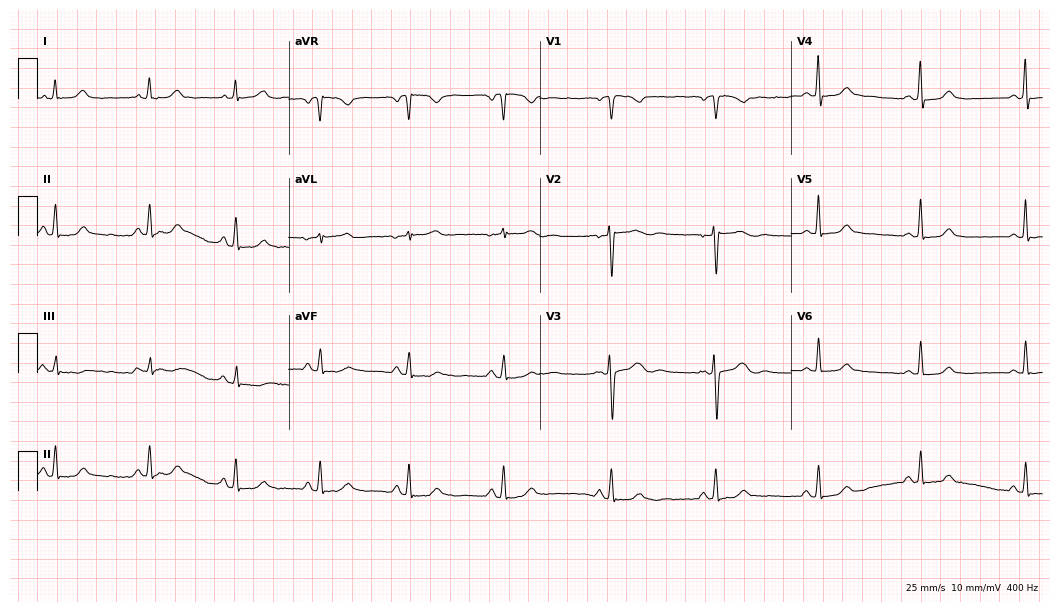
ECG (10.2-second recording at 400 Hz) — a woman, 51 years old. Screened for six findings — first-degree AV block, right bundle branch block, left bundle branch block, sinus bradycardia, atrial fibrillation, sinus tachycardia — none is recorded. Other findings, if any, are not listed.